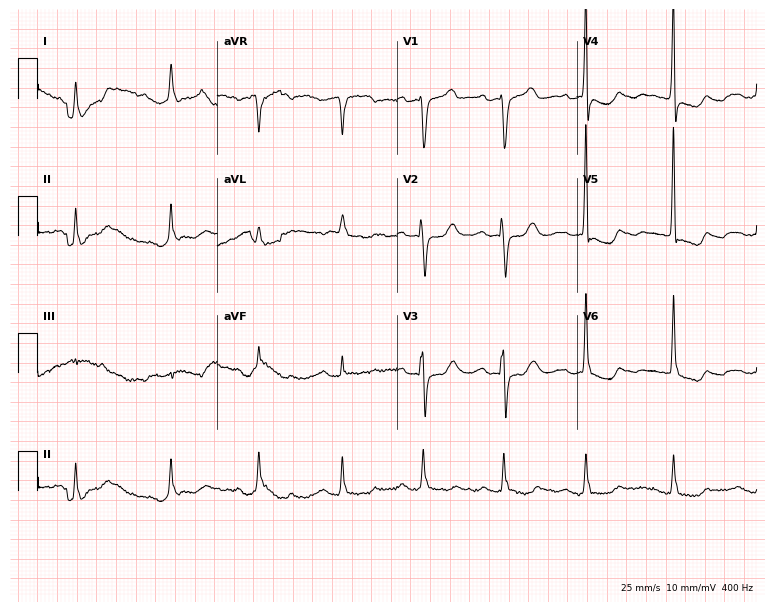
Standard 12-lead ECG recorded from a woman, 69 years old (7.3-second recording at 400 Hz). None of these six findings is recorded: first-degree AV block, right bundle branch block (RBBB), left bundle branch block (LBBB), sinus bradycardia, atrial fibrillation (AF), sinus tachycardia.